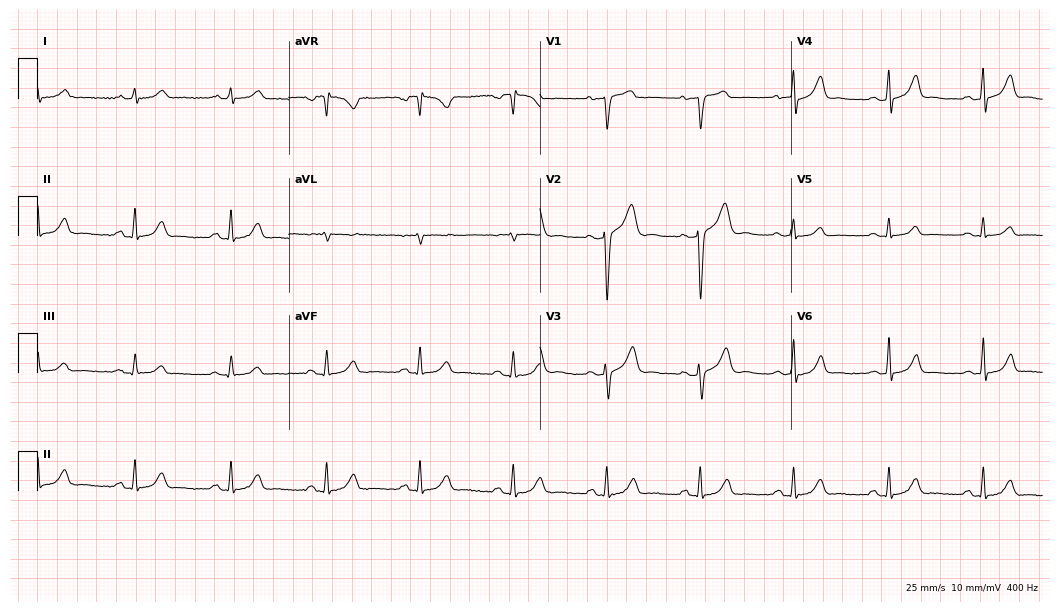
Resting 12-lead electrocardiogram. Patient: a 34-year-old man. Read as a normal ECG.